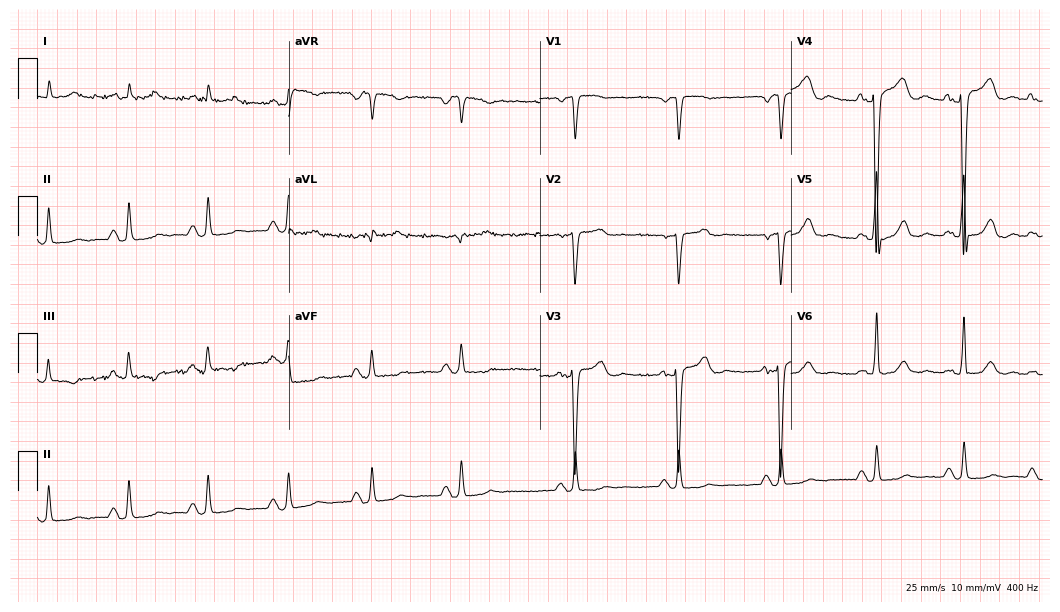
12-lead ECG from a male patient, 49 years old. No first-degree AV block, right bundle branch block, left bundle branch block, sinus bradycardia, atrial fibrillation or sinus tachycardia recorded for this tracing.